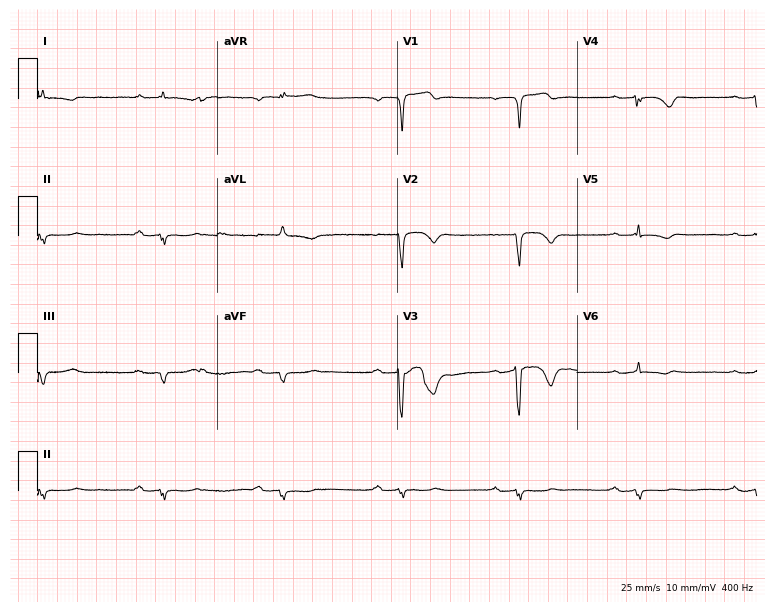
Electrocardiogram, a male, 80 years old. Interpretation includes first-degree AV block, sinus bradycardia (a sinus rate of 50 beats per minute or less).